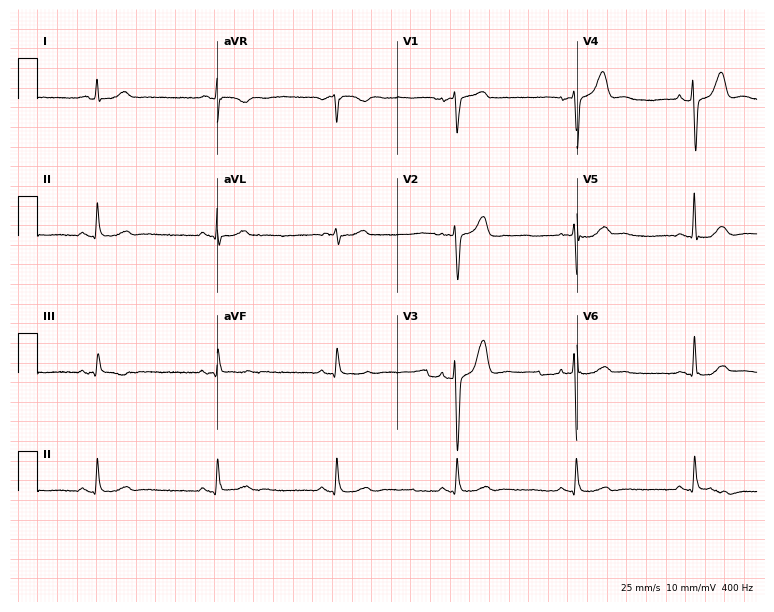
Standard 12-lead ECG recorded from a male, 78 years old. None of these six findings is recorded: first-degree AV block, right bundle branch block (RBBB), left bundle branch block (LBBB), sinus bradycardia, atrial fibrillation (AF), sinus tachycardia. Findings outside these six are not listed.